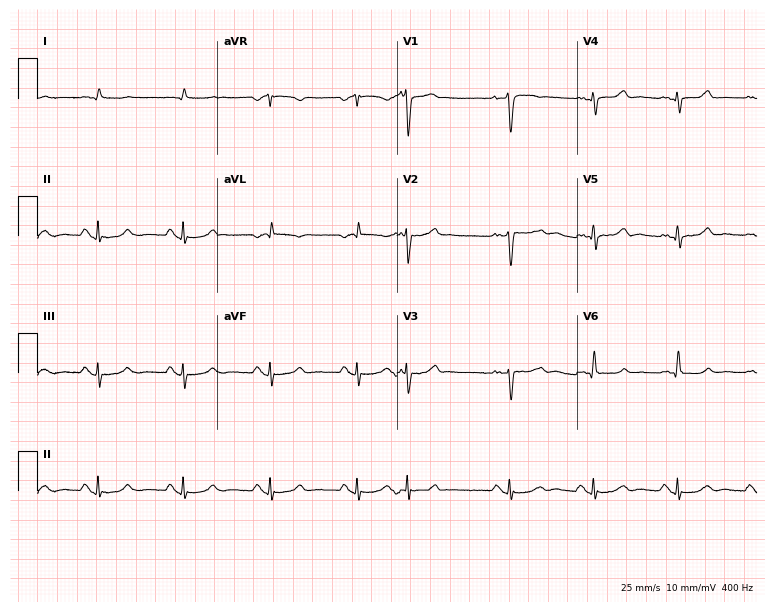
ECG (7.3-second recording at 400 Hz) — a male patient, 77 years old. Screened for six findings — first-degree AV block, right bundle branch block (RBBB), left bundle branch block (LBBB), sinus bradycardia, atrial fibrillation (AF), sinus tachycardia — none is recorded.